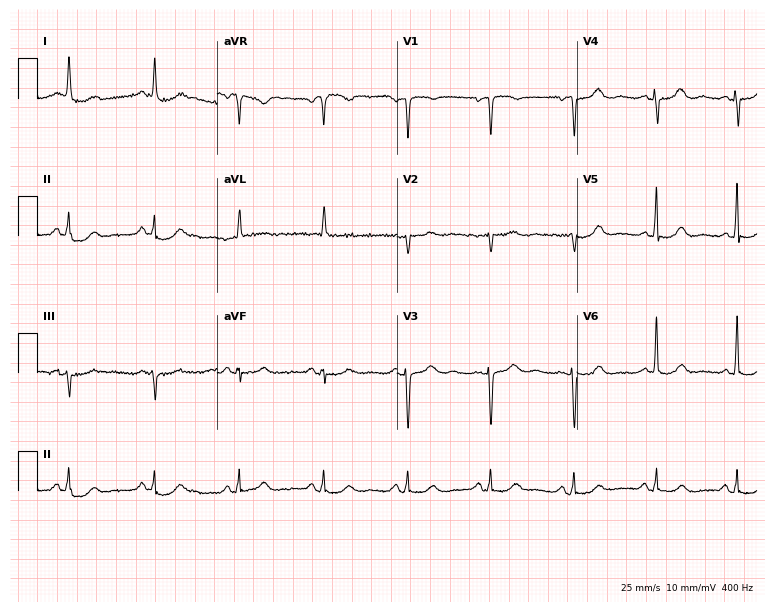
Standard 12-lead ECG recorded from a female patient, 74 years old. None of these six findings is recorded: first-degree AV block, right bundle branch block, left bundle branch block, sinus bradycardia, atrial fibrillation, sinus tachycardia.